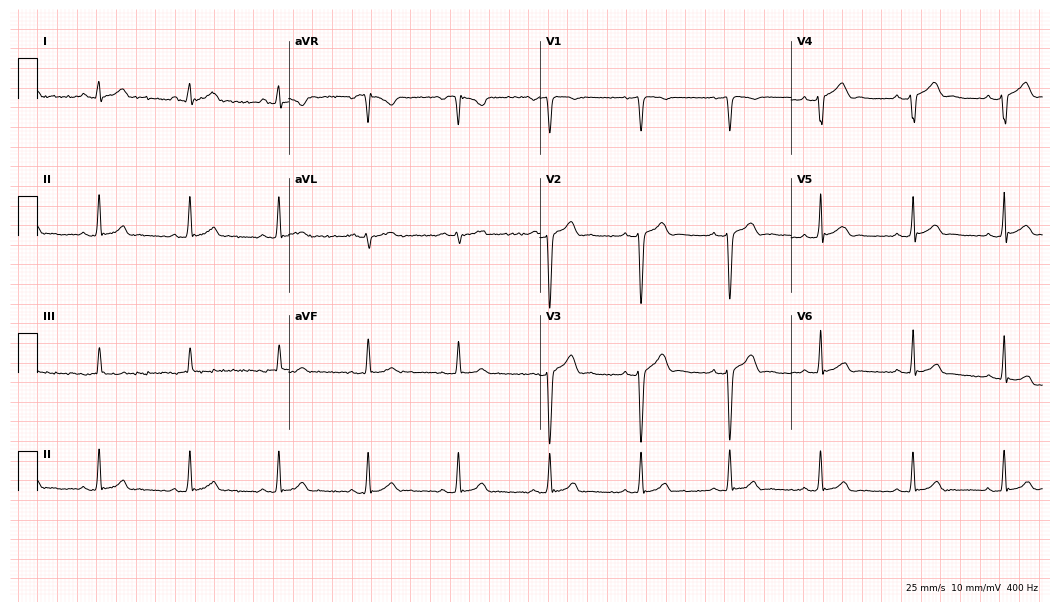
ECG (10.2-second recording at 400 Hz) — a male, 24 years old. Screened for six findings — first-degree AV block, right bundle branch block, left bundle branch block, sinus bradycardia, atrial fibrillation, sinus tachycardia — none is recorded. Findings outside these six are not listed.